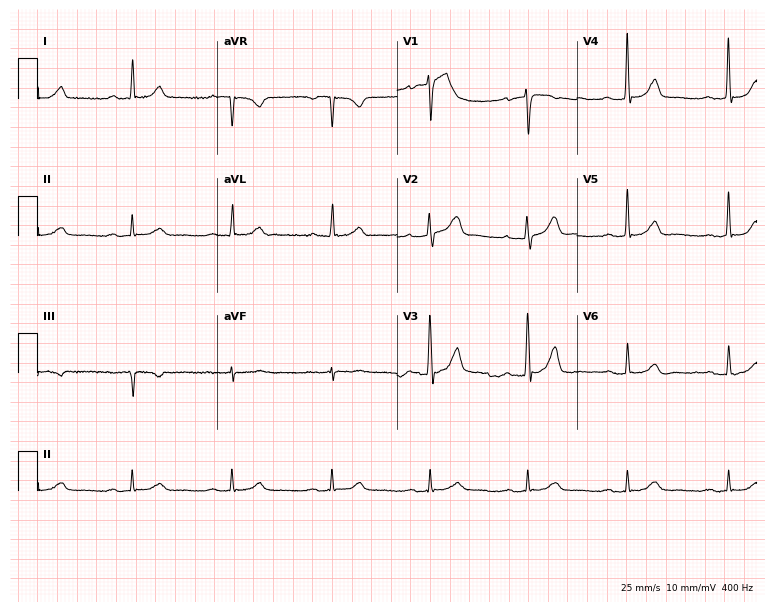
Resting 12-lead electrocardiogram (7.3-second recording at 400 Hz). Patient: a man, 70 years old. The tracing shows first-degree AV block.